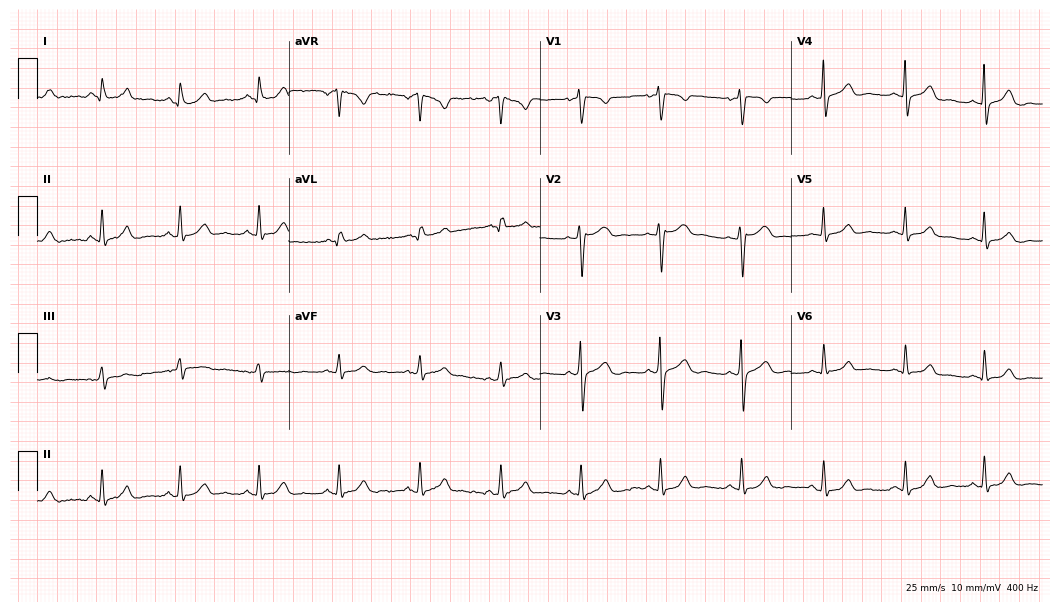
12-lead ECG from a 43-year-old female patient (10.2-second recording at 400 Hz). Recorded interpretation: within normal limits.